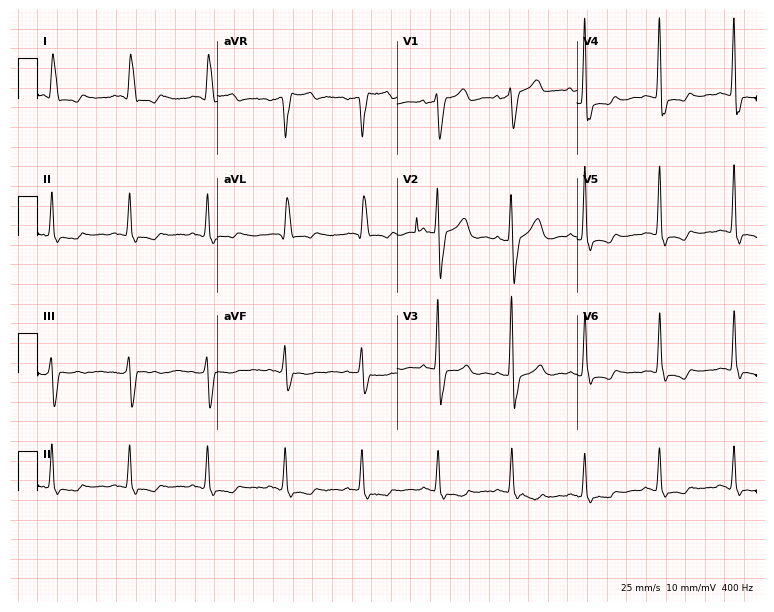
12-lead ECG from a female, 79 years old. No first-degree AV block, right bundle branch block, left bundle branch block, sinus bradycardia, atrial fibrillation or sinus tachycardia recorded for this tracing. Findings outside these six are not listed.